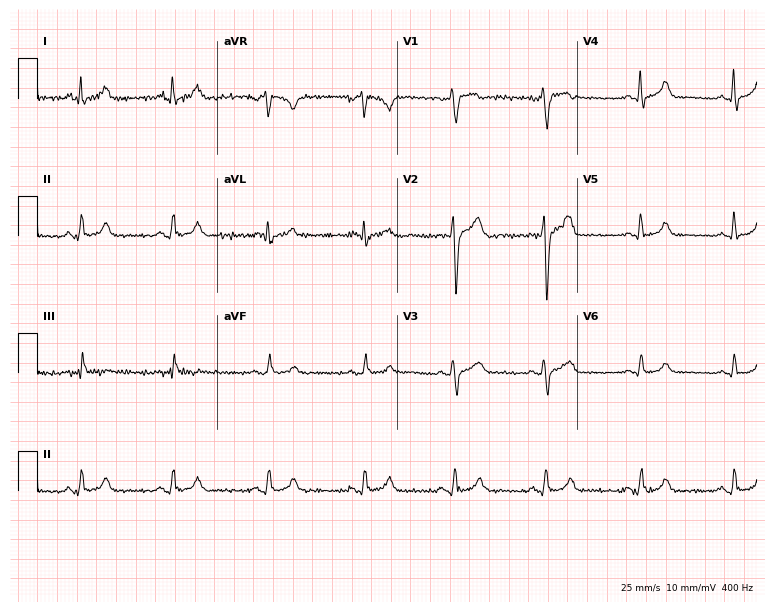
ECG — a 40-year-old male. Labelled as a normal ECG.